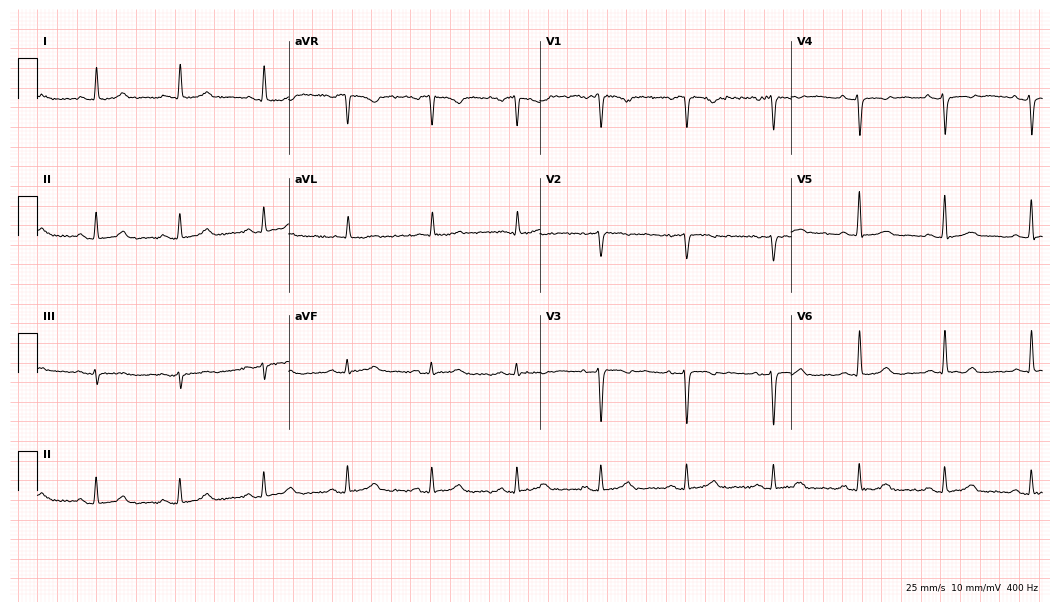
12-lead ECG from a 49-year-old female. No first-degree AV block, right bundle branch block, left bundle branch block, sinus bradycardia, atrial fibrillation or sinus tachycardia recorded for this tracing.